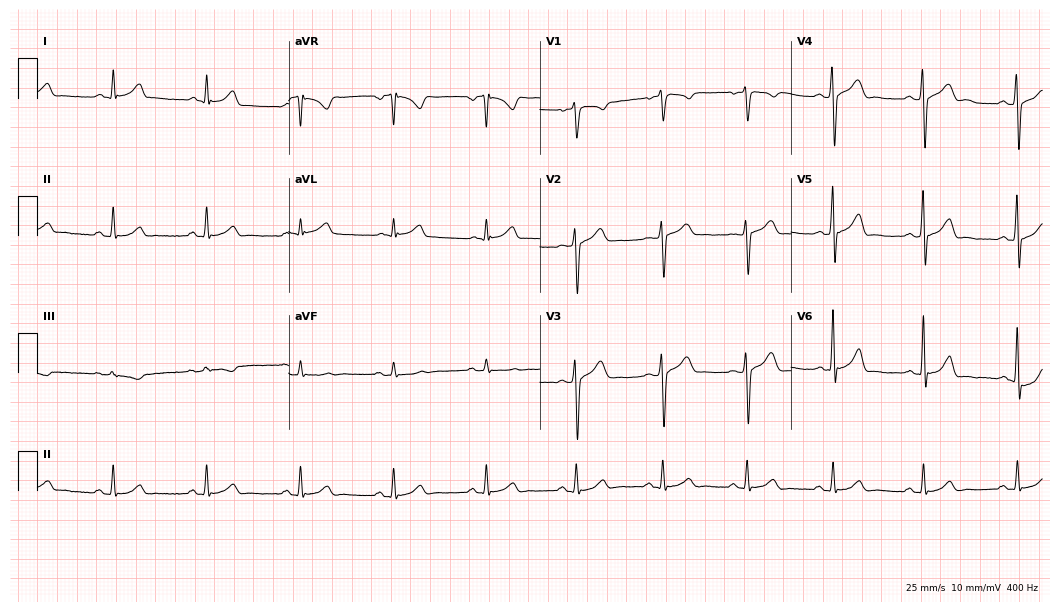
12-lead ECG (10.2-second recording at 400 Hz) from a male, 38 years old. Labelled as a normal ECG.